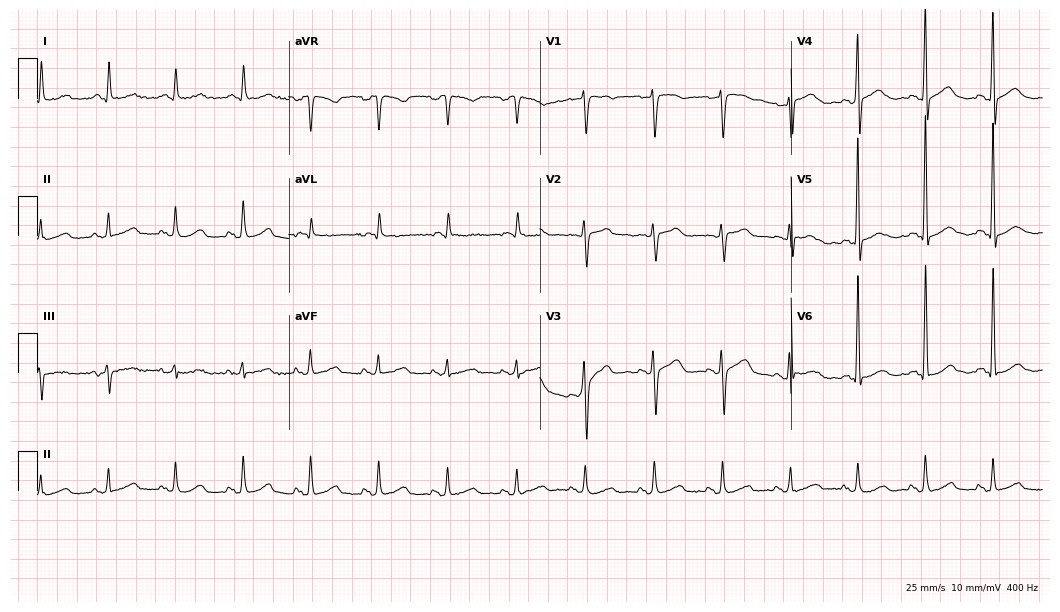
12-lead ECG from a 69-year-old woman (10.2-second recording at 400 Hz). Recorded interpretation: within normal limits.